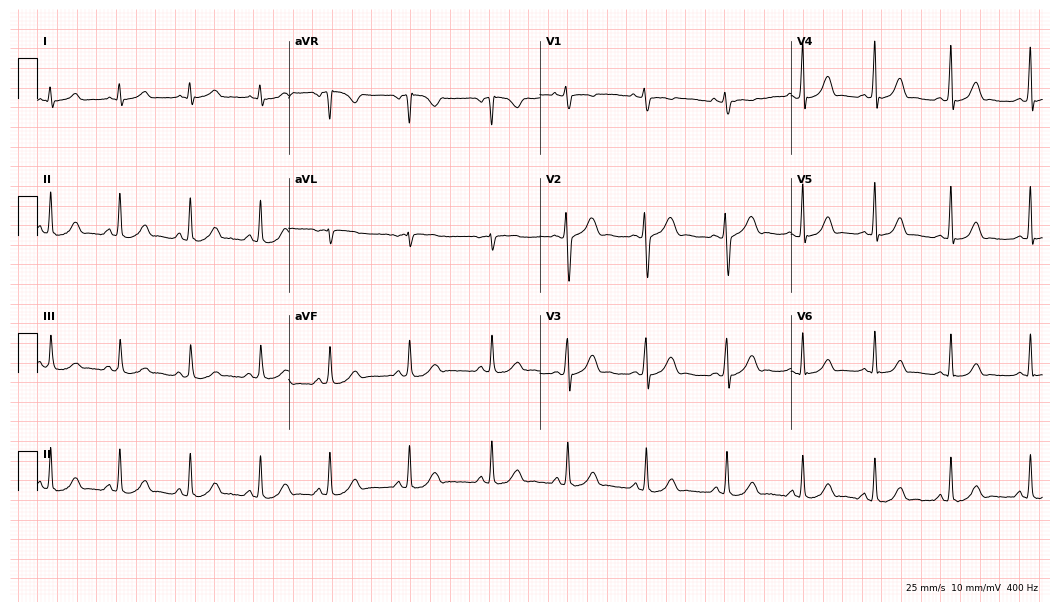
12-lead ECG from a 22-year-old woman. Recorded interpretation: within normal limits.